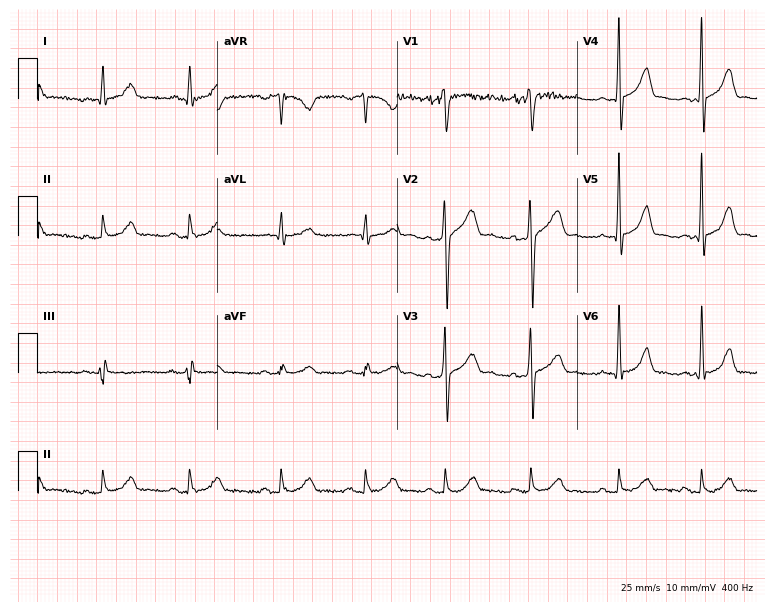
12-lead ECG from a 37-year-old male patient. Recorded interpretation: within normal limits.